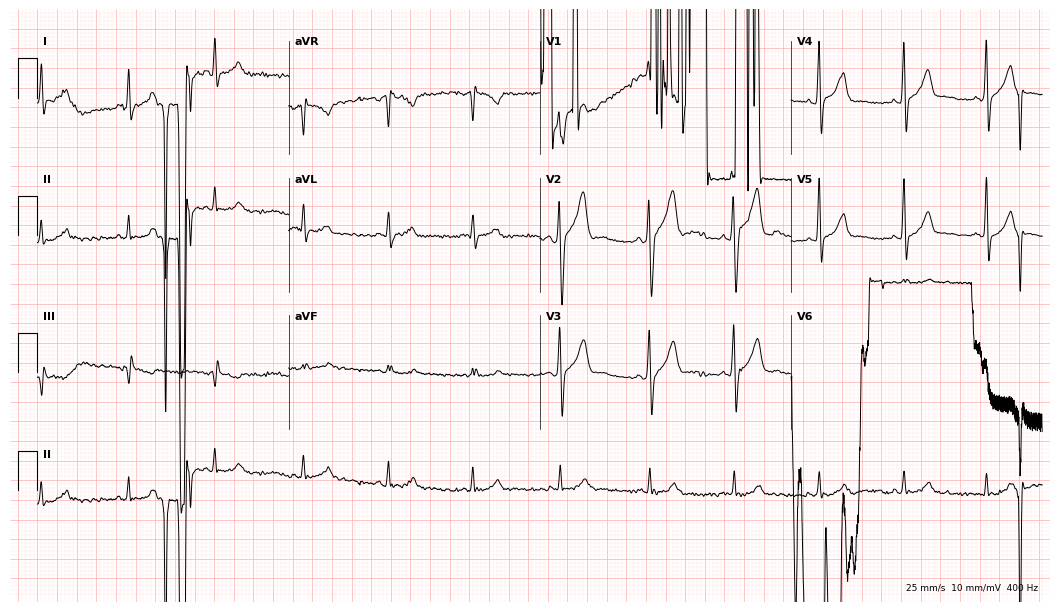
12-lead ECG (10.2-second recording at 400 Hz) from a 34-year-old man. Screened for six findings — first-degree AV block, right bundle branch block (RBBB), left bundle branch block (LBBB), sinus bradycardia, atrial fibrillation (AF), sinus tachycardia — none is recorded.